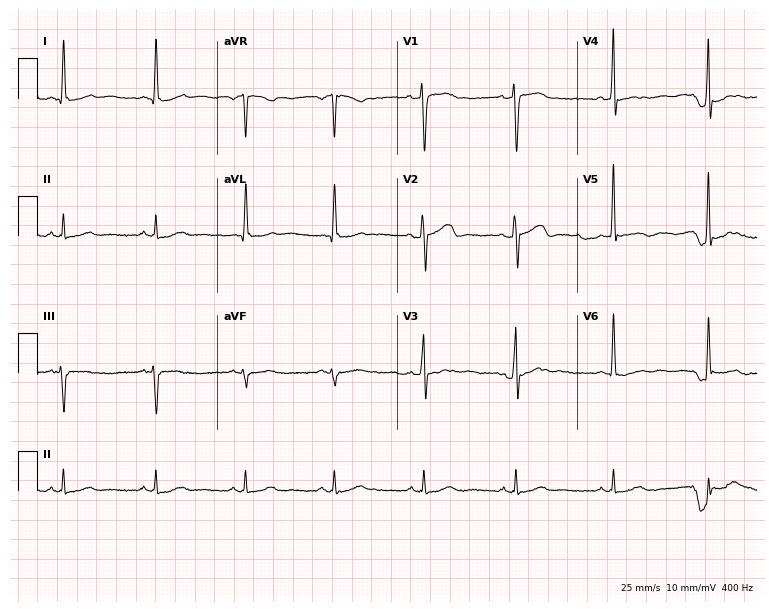
Electrocardiogram, a 56-year-old male patient. Overall reading on record: normal ECG.